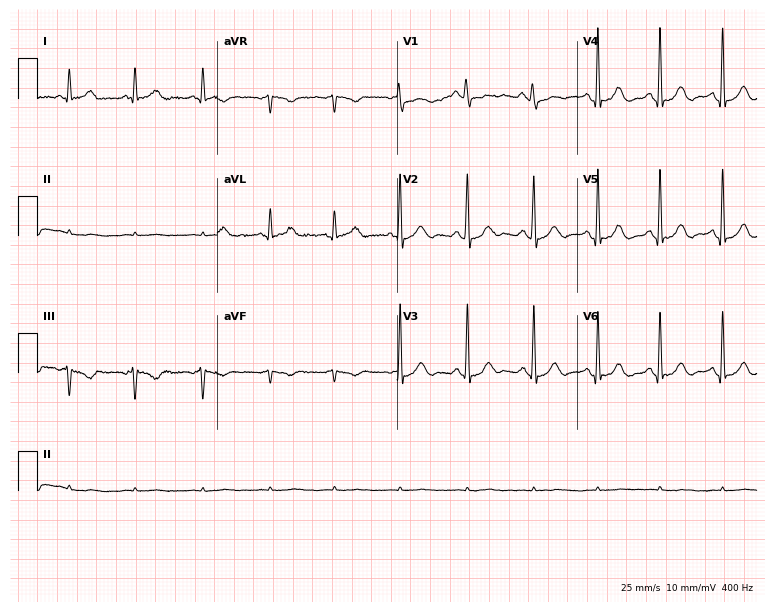
Resting 12-lead electrocardiogram (7.3-second recording at 400 Hz). Patient: a female, 38 years old. None of these six findings is recorded: first-degree AV block, right bundle branch block, left bundle branch block, sinus bradycardia, atrial fibrillation, sinus tachycardia. Findings outside these six are not listed.